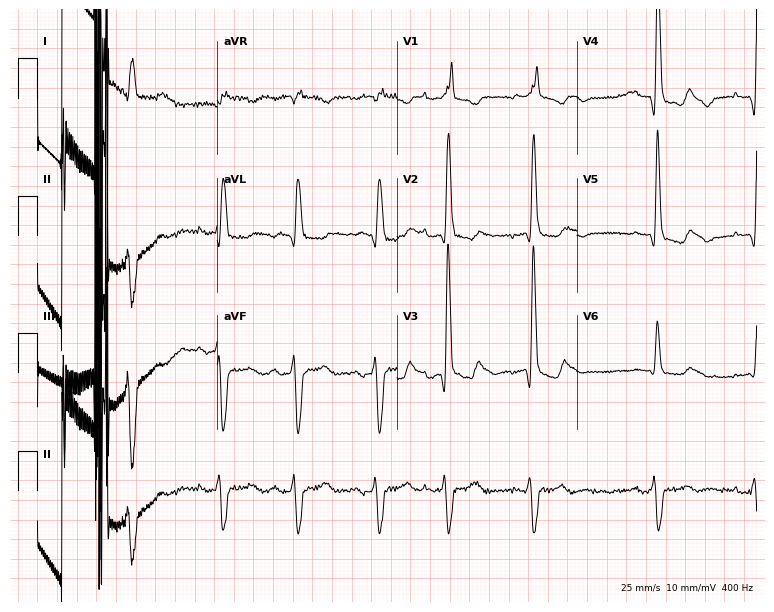
Electrocardiogram, a male patient, 83 years old. Of the six screened findings (first-degree AV block, right bundle branch block, left bundle branch block, sinus bradycardia, atrial fibrillation, sinus tachycardia), none is recorded.